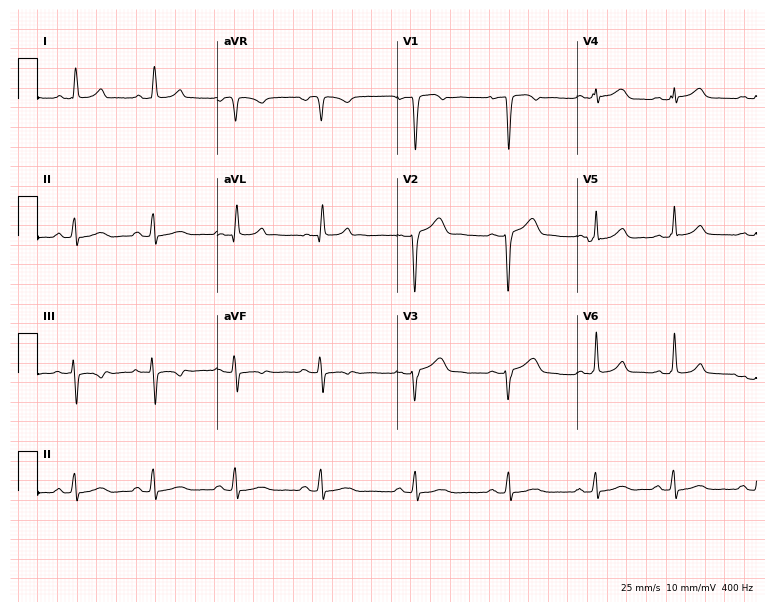
ECG (7.3-second recording at 400 Hz) — a 24-year-old female patient. Screened for six findings — first-degree AV block, right bundle branch block, left bundle branch block, sinus bradycardia, atrial fibrillation, sinus tachycardia — none is recorded. Only these six findings were labelled.